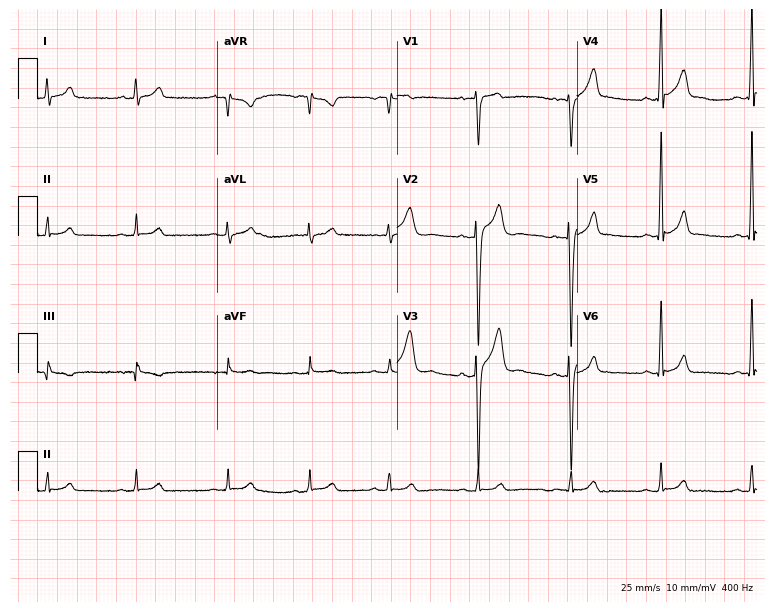
Resting 12-lead electrocardiogram. Patient: a male, 17 years old. None of these six findings is recorded: first-degree AV block, right bundle branch block (RBBB), left bundle branch block (LBBB), sinus bradycardia, atrial fibrillation (AF), sinus tachycardia.